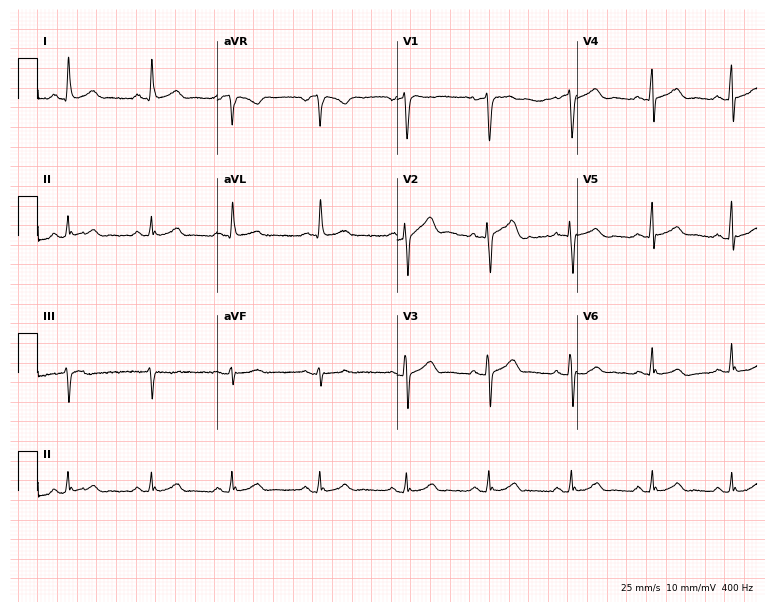
ECG — a man, 32 years old. Labelled as a normal ECG.